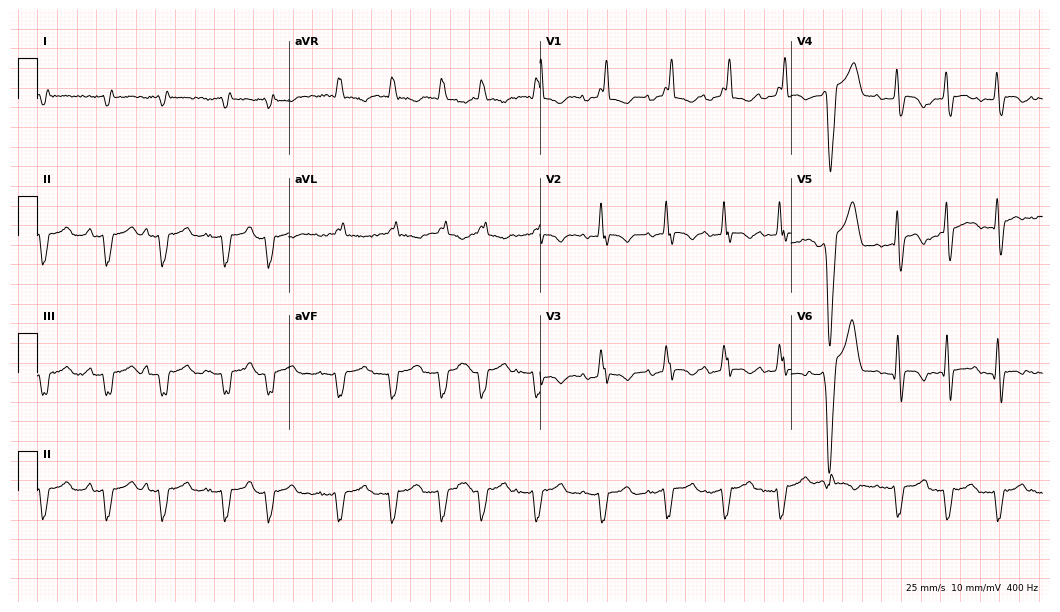
Electrocardiogram, a 72-year-old male. Interpretation includes right bundle branch block, atrial fibrillation.